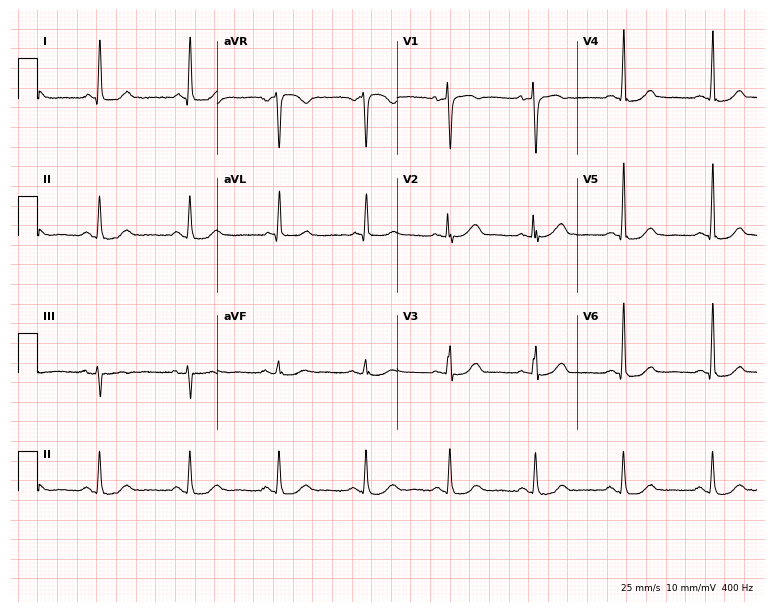
ECG — a 63-year-old woman. Screened for six findings — first-degree AV block, right bundle branch block, left bundle branch block, sinus bradycardia, atrial fibrillation, sinus tachycardia — none is recorded. Other findings, if any, are not listed.